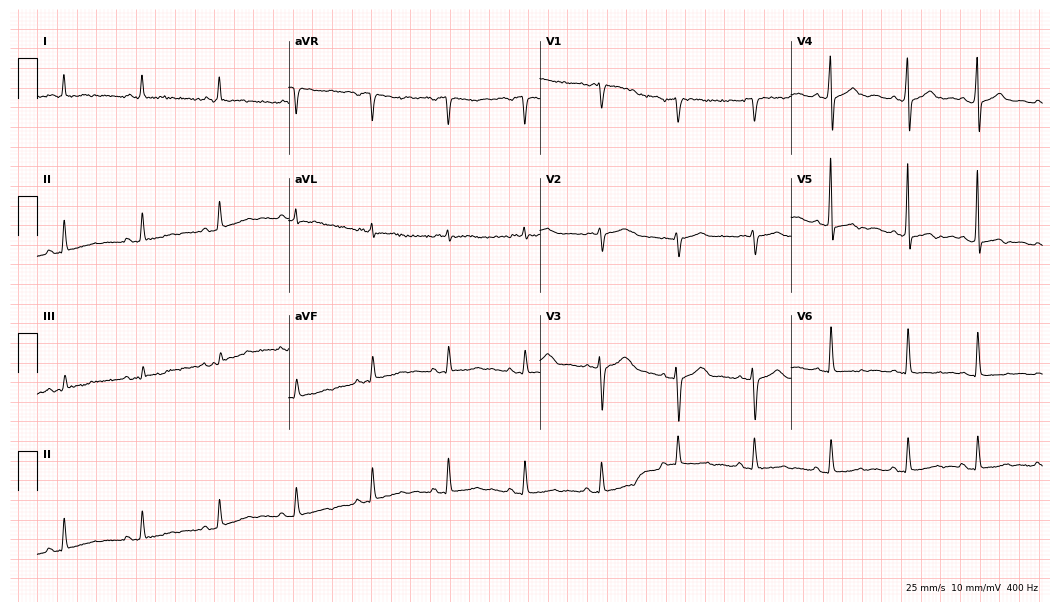
12-lead ECG from a female, 62 years old. Screened for six findings — first-degree AV block, right bundle branch block, left bundle branch block, sinus bradycardia, atrial fibrillation, sinus tachycardia — none is recorded. Findings outside these six are not listed.